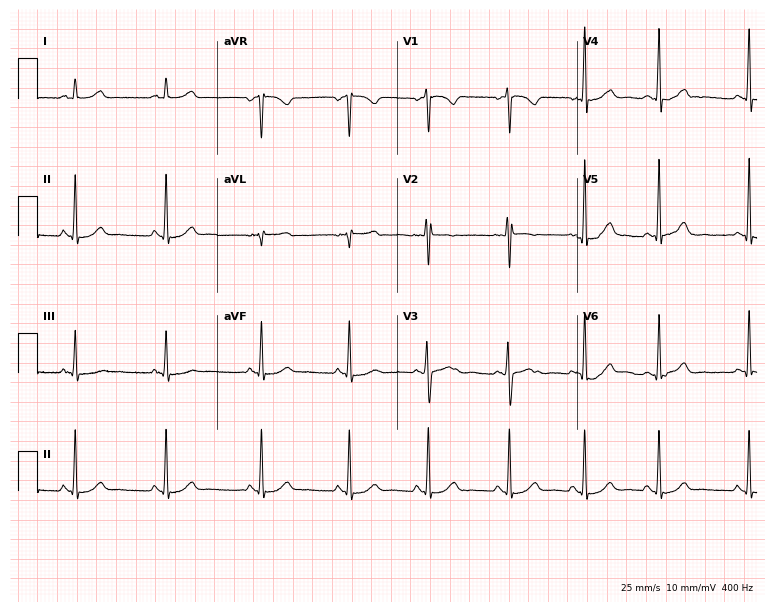
12-lead ECG from a woman, 41 years old. Screened for six findings — first-degree AV block, right bundle branch block, left bundle branch block, sinus bradycardia, atrial fibrillation, sinus tachycardia — none is recorded.